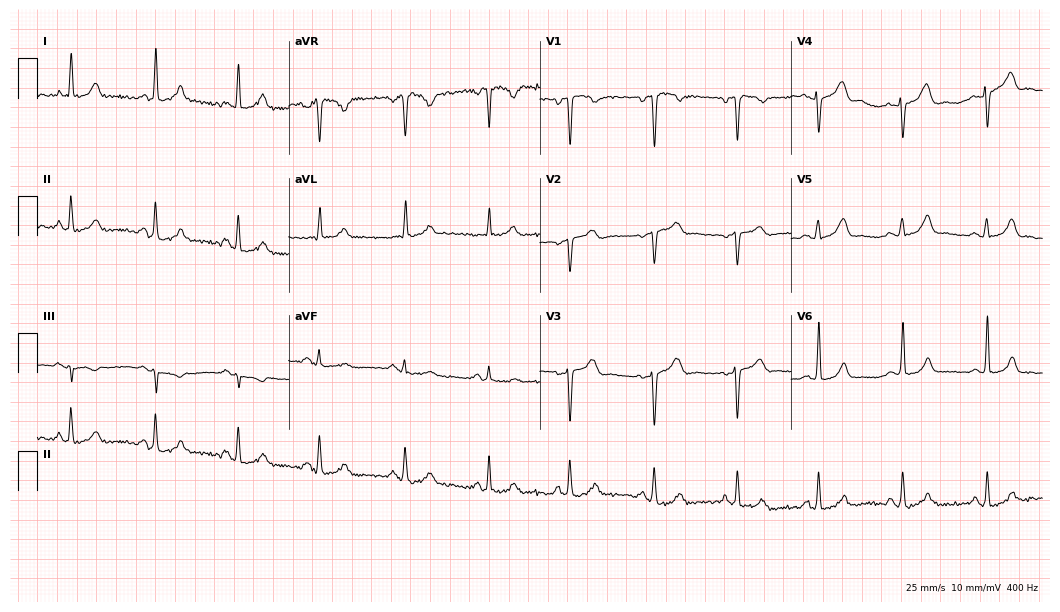
12-lead ECG from a 38-year-old female patient (10.2-second recording at 400 Hz). Recorded interpretation: within normal limits.